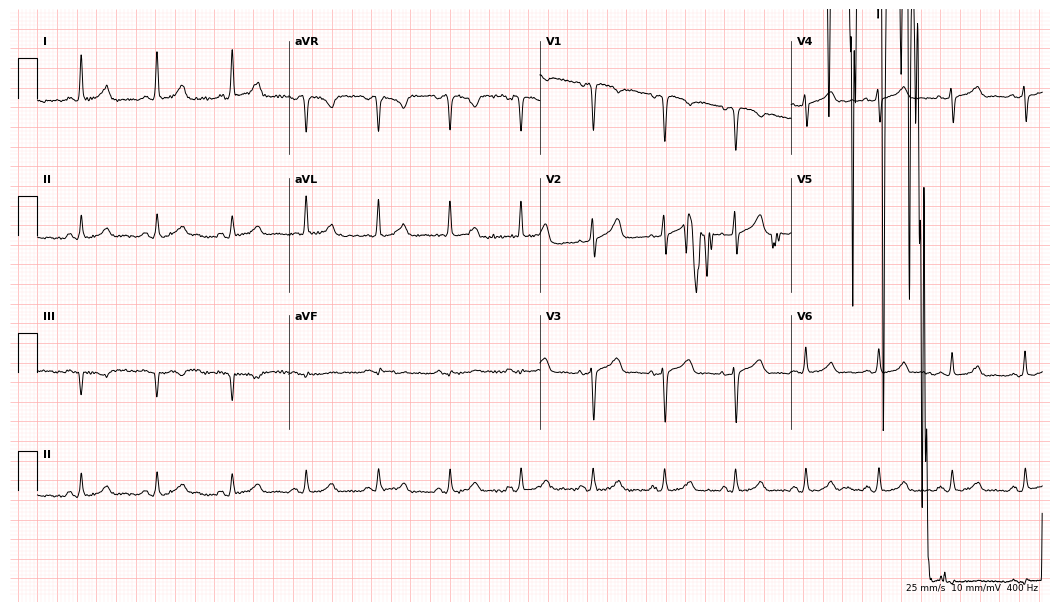
12-lead ECG from a 76-year-old woman. Screened for six findings — first-degree AV block, right bundle branch block, left bundle branch block, sinus bradycardia, atrial fibrillation, sinus tachycardia — none is recorded. Other findings, if any, are not listed.